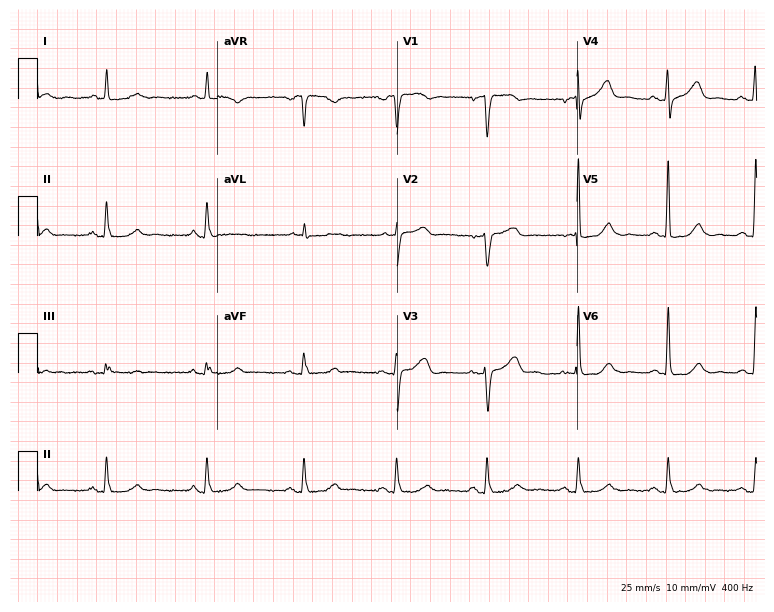
12-lead ECG from a 73-year-old female patient. No first-degree AV block, right bundle branch block (RBBB), left bundle branch block (LBBB), sinus bradycardia, atrial fibrillation (AF) or sinus tachycardia recorded for this tracing. Findings outside these six are not listed.